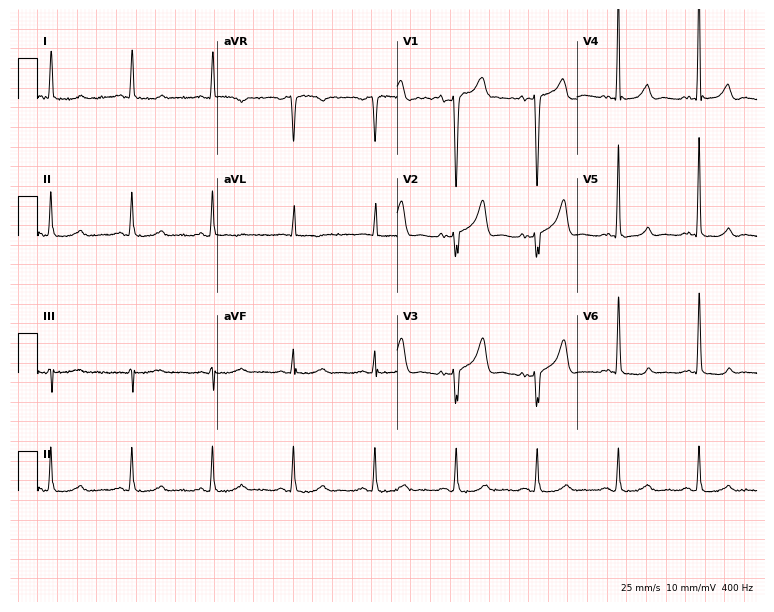
Electrocardiogram, a 79-year-old female patient. Of the six screened findings (first-degree AV block, right bundle branch block, left bundle branch block, sinus bradycardia, atrial fibrillation, sinus tachycardia), none is recorded.